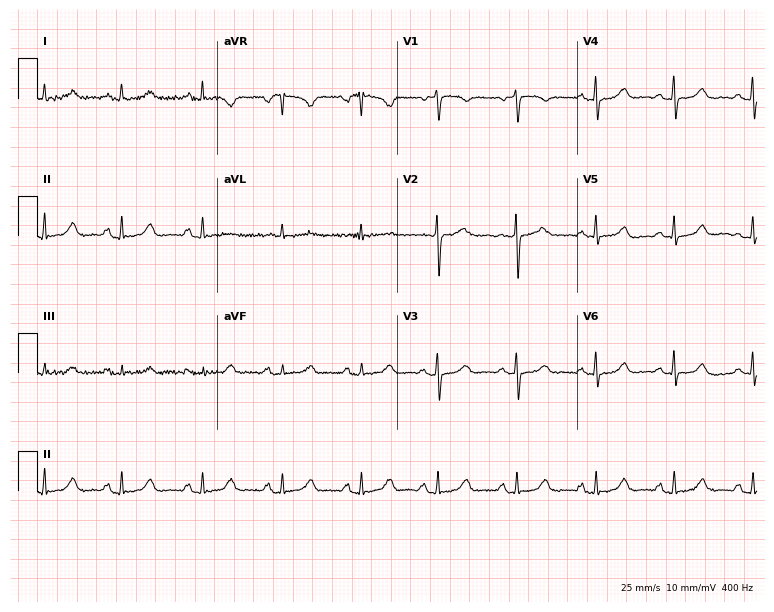
12-lead ECG from a female patient, 57 years old. Labelled as a normal ECG.